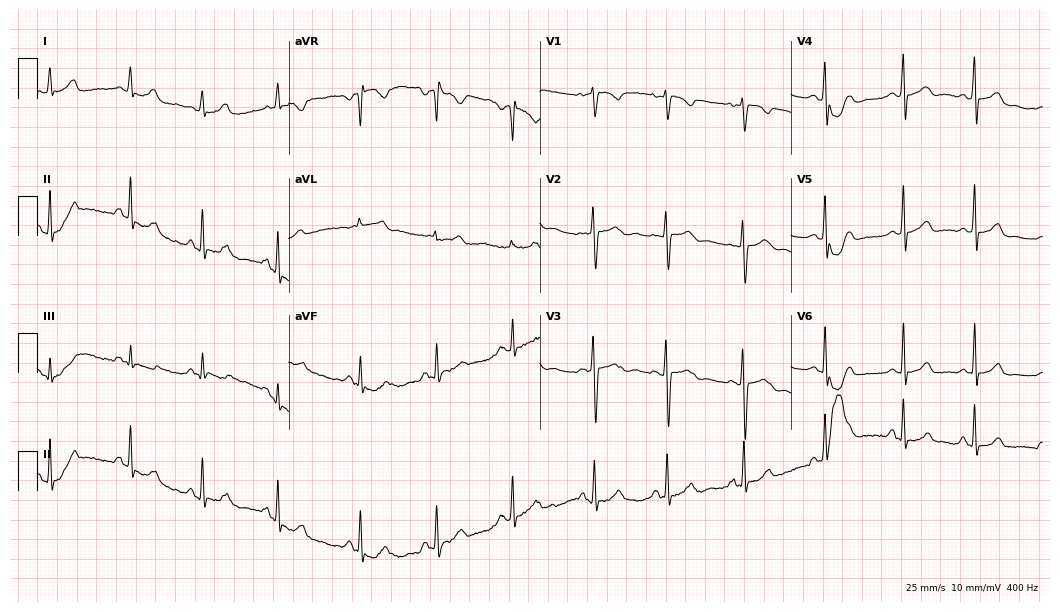
ECG — a woman, 20 years old. Screened for six findings — first-degree AV block, right bundle branch block (RBBB), left bundle branch block (LBBB), sinus bradycardia, atrial fibrillation (AF), sinus tachycardia — none is recorded.